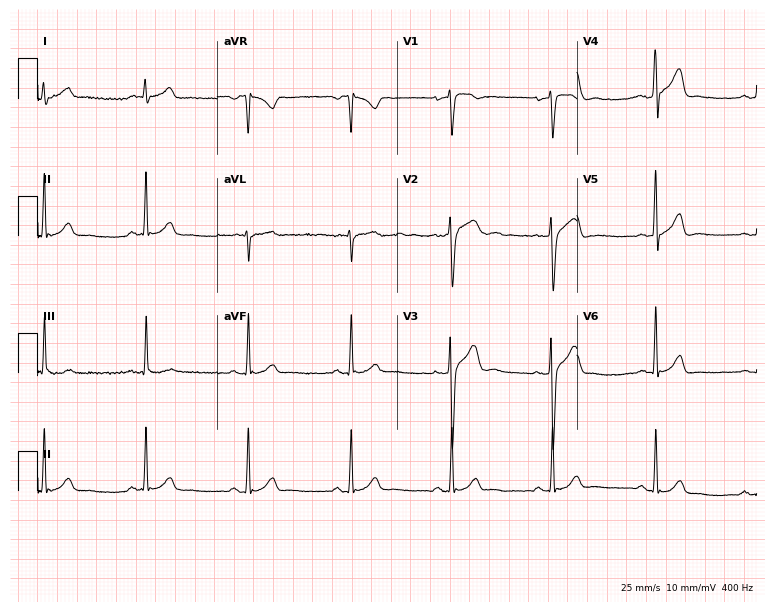
ECG — a 39-year-old male. Labelled as a normal ECG.